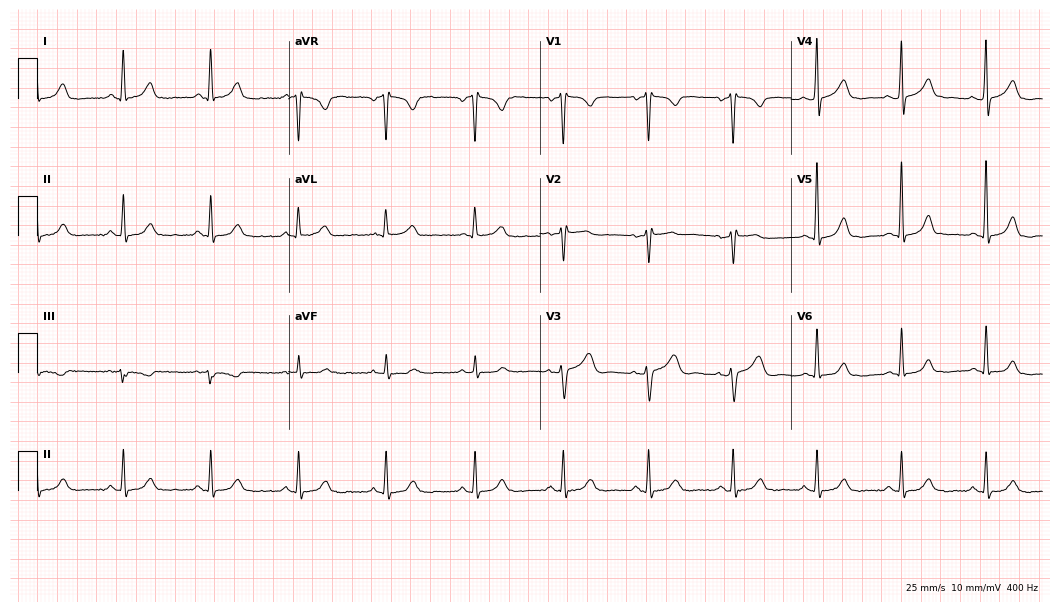
Electrocardiogram (10.2-second recording at 400 Hz), a 40-year-old woman. Overall reading on record: normal ECG.